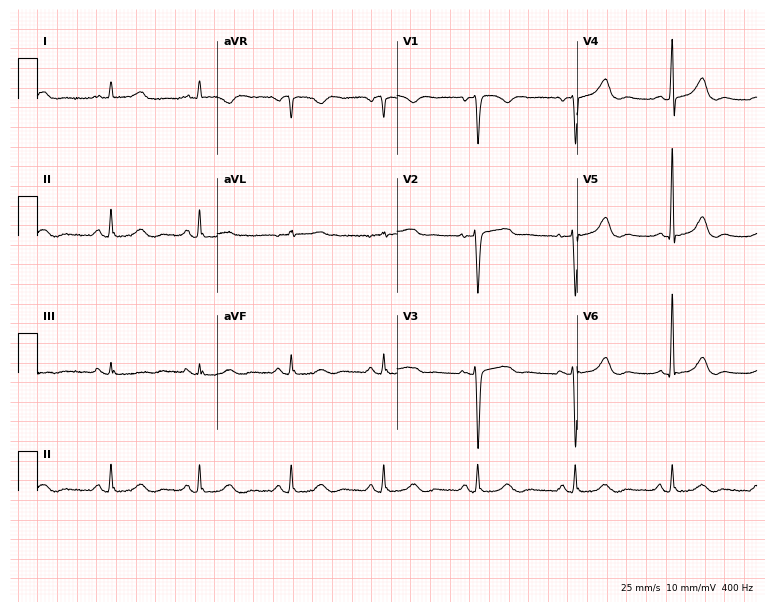
Electrocardiogram, a 24-year-old female. Overall reading on record: normal ECG.